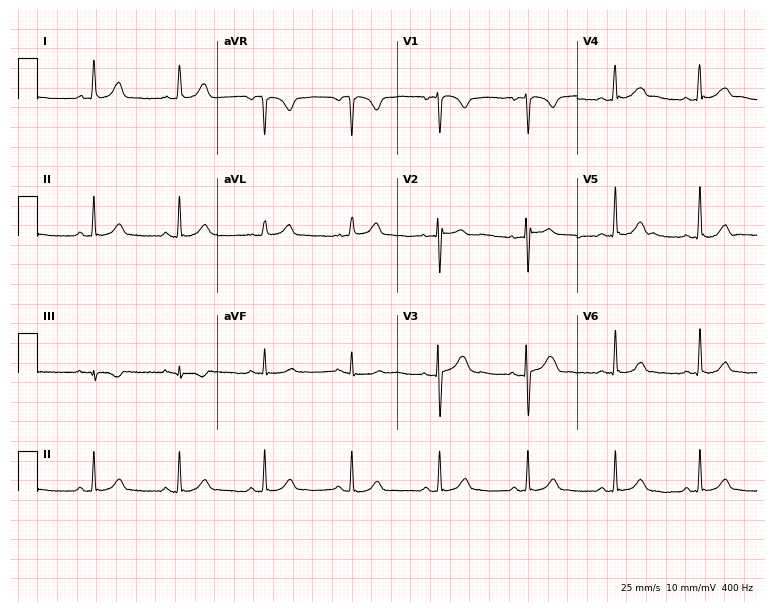
12-lead ECG from a 28-year-old female. Labelled as a normal ECG.